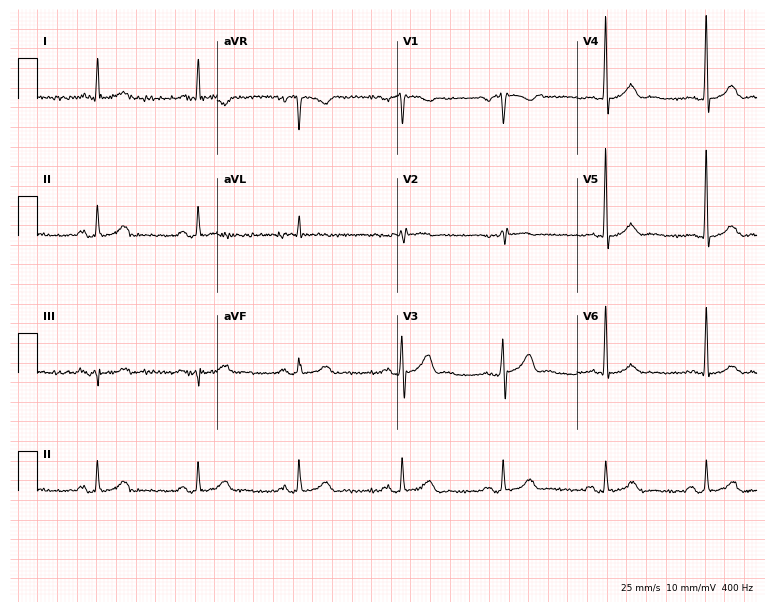
ECG (7.3-second recording at 400 Hz) — a 75-year-old woman. Labelled as a normal ECG.